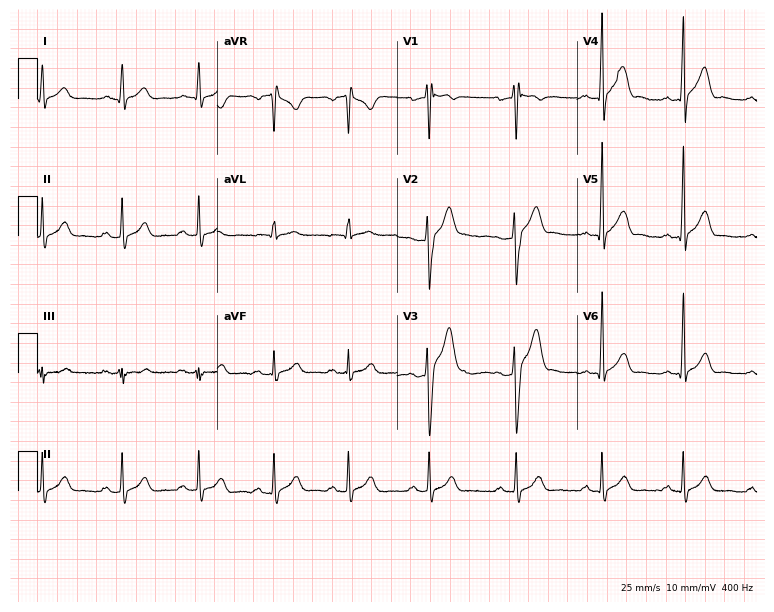
12-lead ECG (7.3-second recording at 400 Hz) from a 20-year-old male patient. Labelled as a normal ECG.